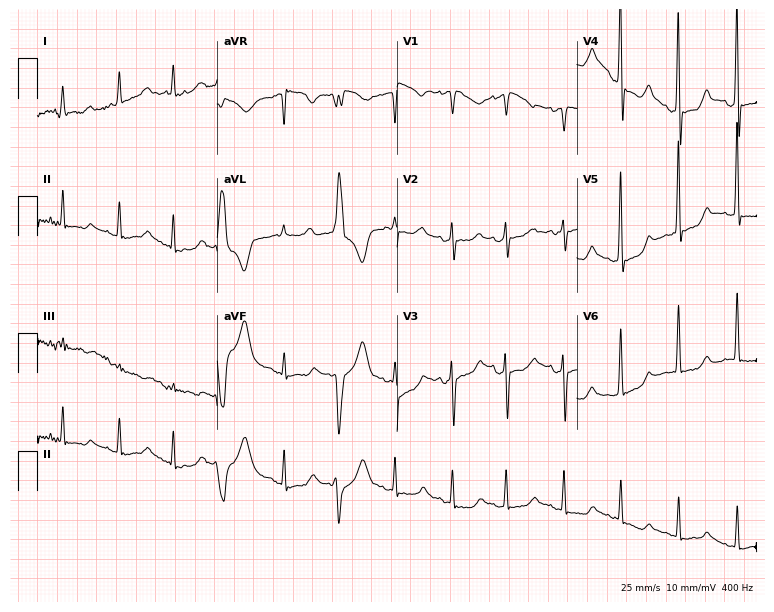
12-lead ECG (7.3-second recording at 400 Hz) from a 78-year-old female. Findings include sinus tachycardia (a sinus rate of 100 beats per minute or more).